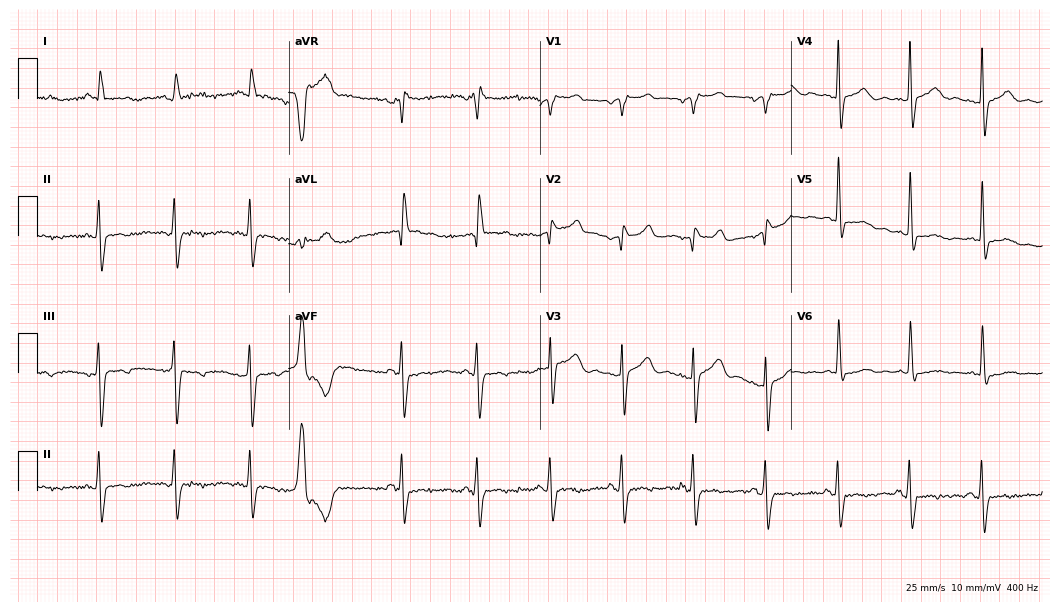
Standard 12-lead ECG recorded from a male, 83 years old. None of these six findings is recorded: first-degree AV block, right bundle branch block (RBBB), left bundle branch block (LBBB), sinus bradycardia, atrial fibrillation (AF), sinus tachycardia. Other findings, if any, are not listed.